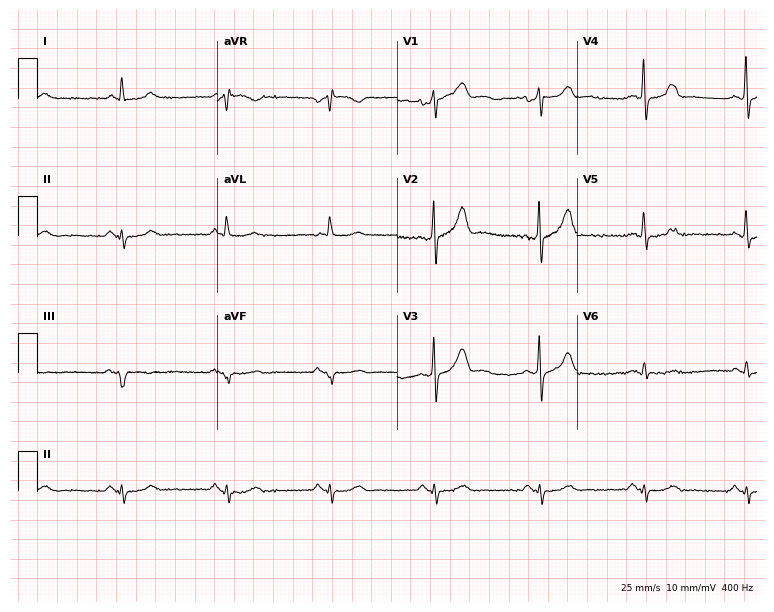
Resting 12-lead electrocardiogram. Patient: a 71-year-old male. None of these six findings is recorded: first-degree AV block, right bundle branch block, left bundle branch block, sinus bradycardia, atrial fibrillation, sinus tachycardia.